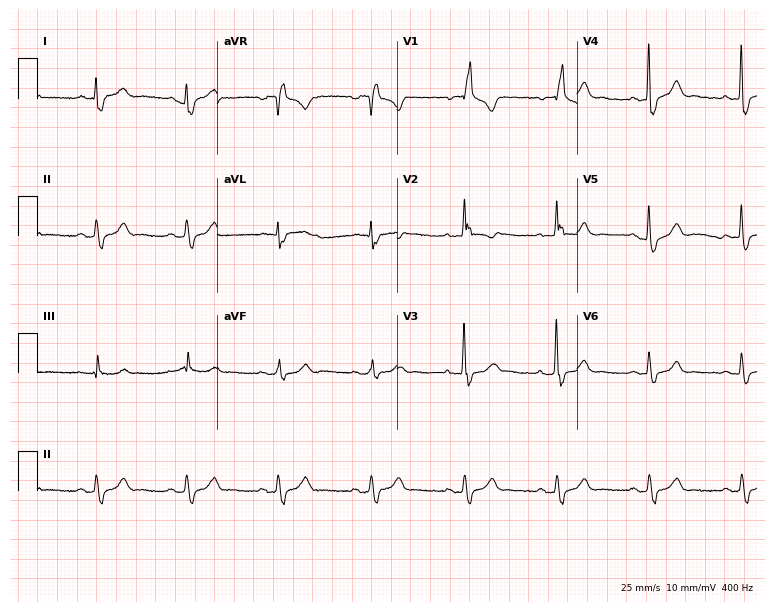
12-lead ECG from a male patient, 65 years old. No first-degree AV block, right bundle branch block, left bundle branch block, sinus bradycardia, atrial fibrillation or sinus tachycardia recorded for this tracing.